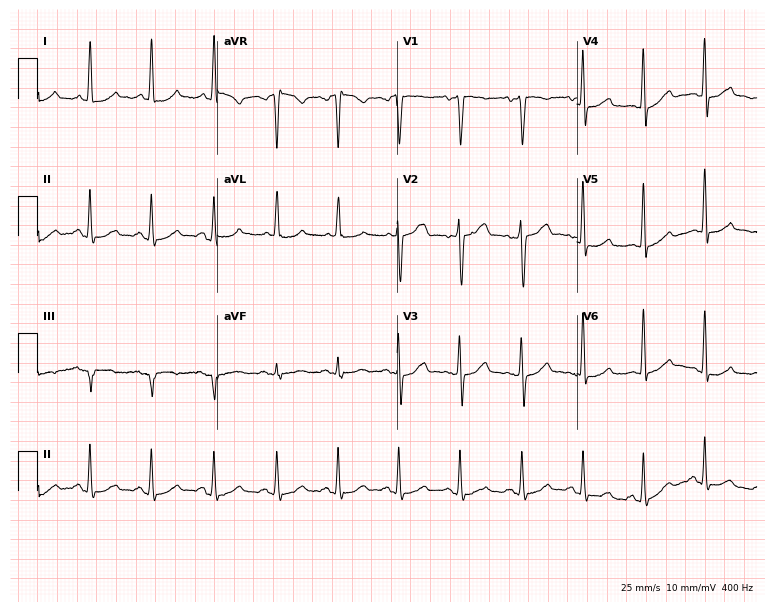
Standard 12-lead ECG recorded from a 46-year-old female patient (7.3-second recording at 400 Hz). None of these six findings is recorded: first-degree AV block, right bundle branch block (RBBB), left bundle branch block (LBBB), sinus bradycardia, atrial fibrillation (AF), sinus tachycardia.